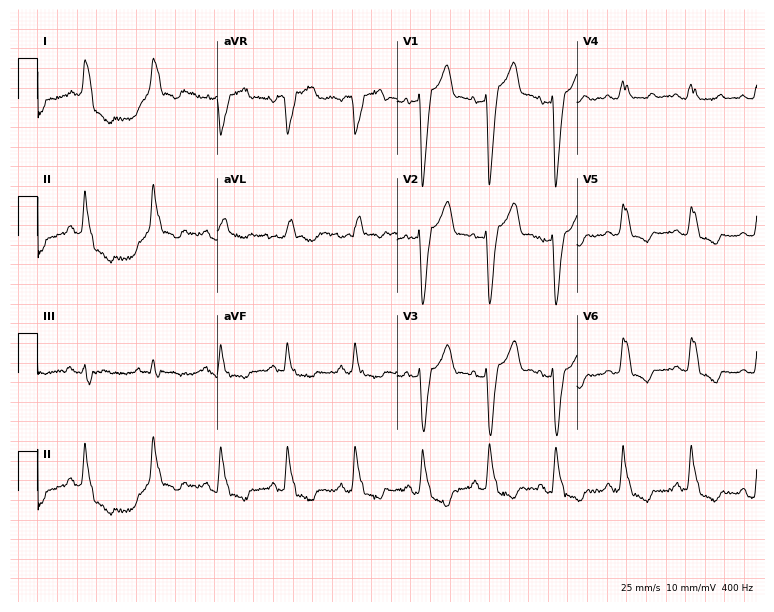
12-lead ECG from a 69-year-old woman (7.3-second recording at 400 Hz). Shows left bundle branch block.